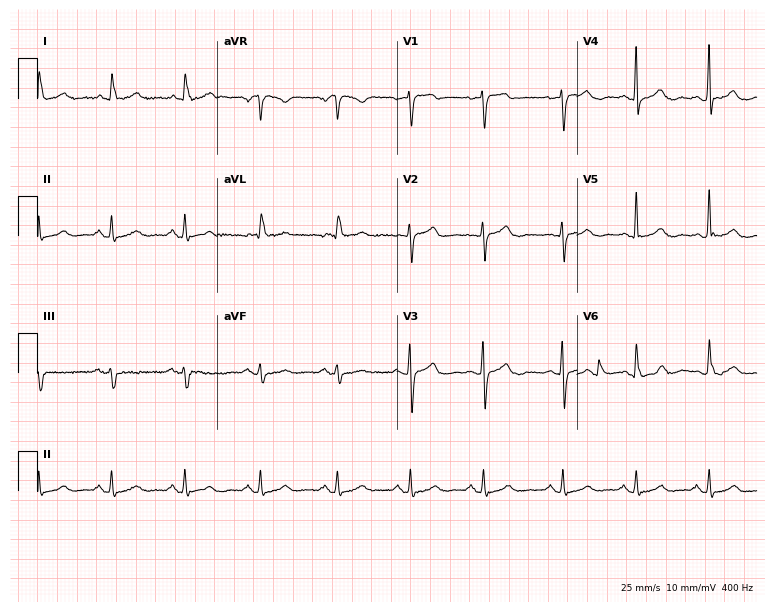
Electrocardiogram, an 80-year-old female. Overall reading on record: normal ECG.